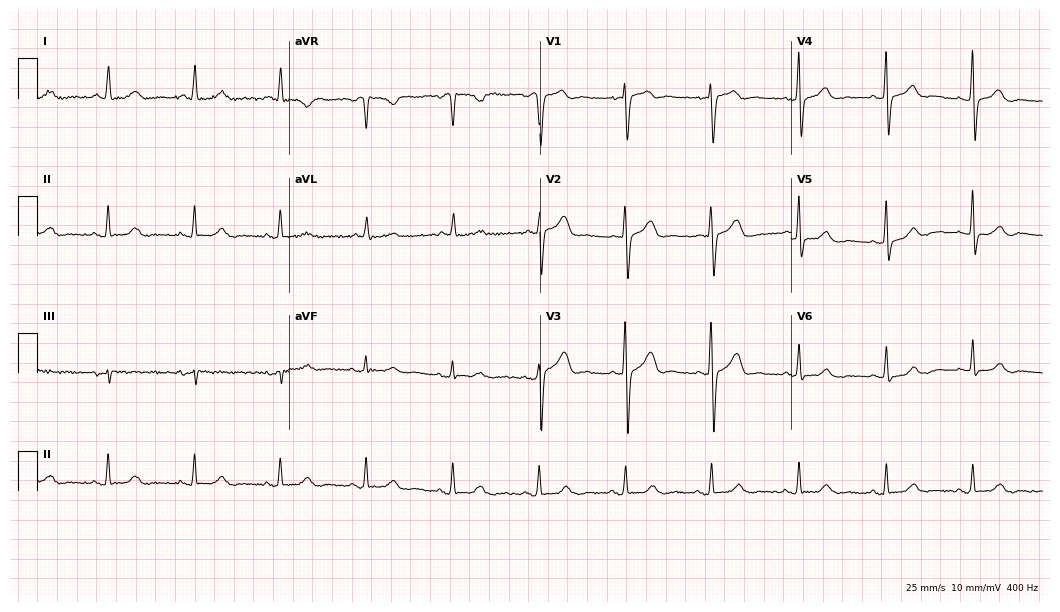
ECG — a woman, 74 years old. Labelled as a normal ECG.